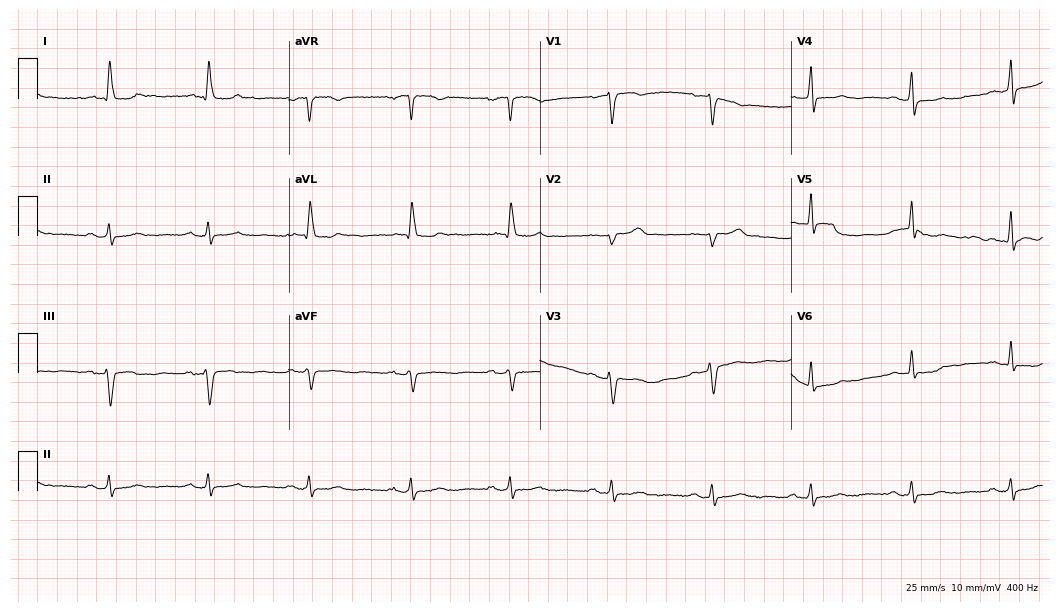
Standard 12-lead ECG recorded from an 85-year-old woman (10.2-second recording at 400 Hz). None of these six findings is recorded: first-degree AV block, right bundle branch block, left bundle branch block, sinus bradycardia, atrial fibrillation, sinus tachycardia. Only these six findings were labelled.